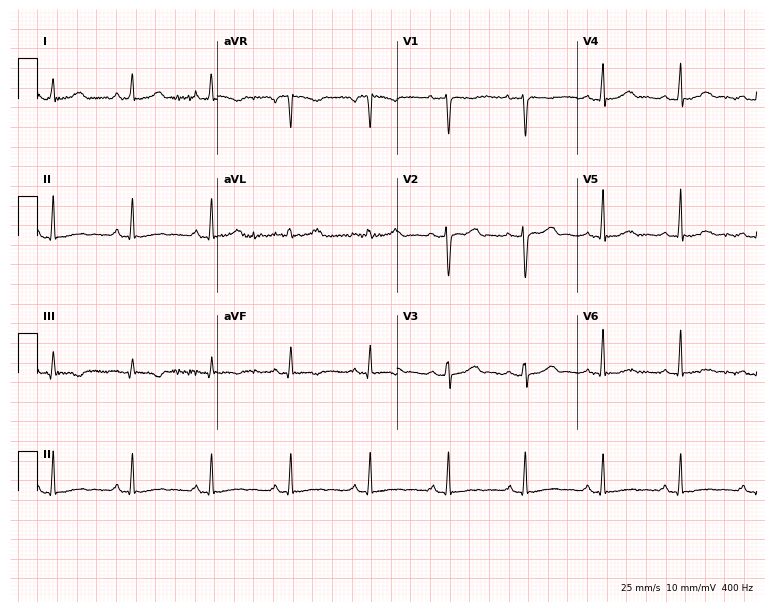
12-lead ECG from a female patient, 37 years old. Screened for six findings — first-degree AV block, right bundle branch block (RBBB), left bundle branch block (LBBB), sinus bradycardia, atrial fibrillation (AF), sinus tachycardia — none is recorded. Findings outside these six are not listed.